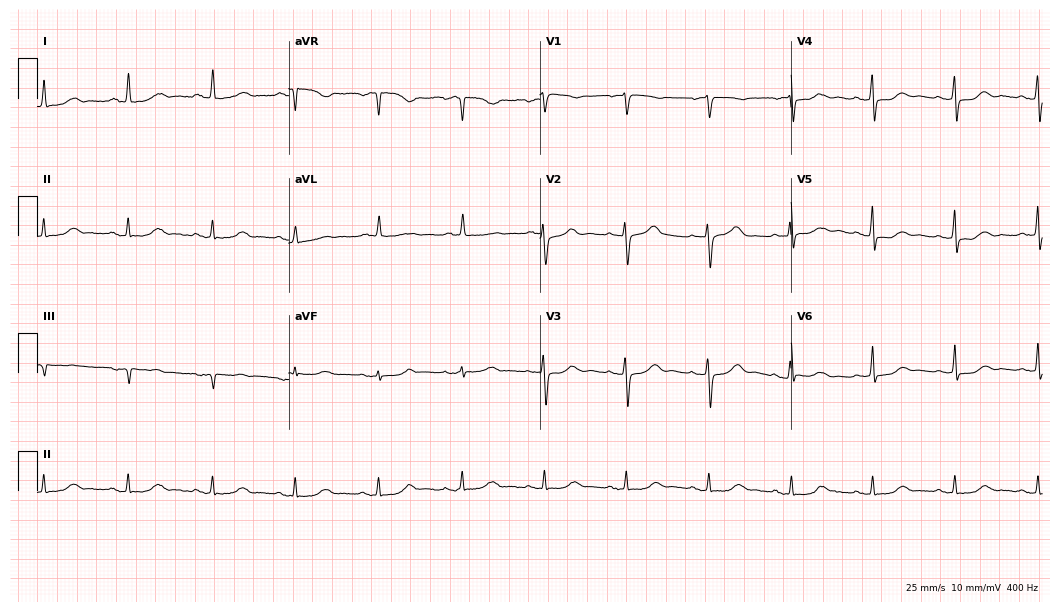
ECG (10.2-second recording at 400 Hz) — a male, 78 years old. Screened for six findings — first-degree AV block, right bundle branch block (RBBB), left bundle branch block (LBBB), sinus bradycardia, atrial fibrillation (AF), sinus tachycardia — none is recorded.